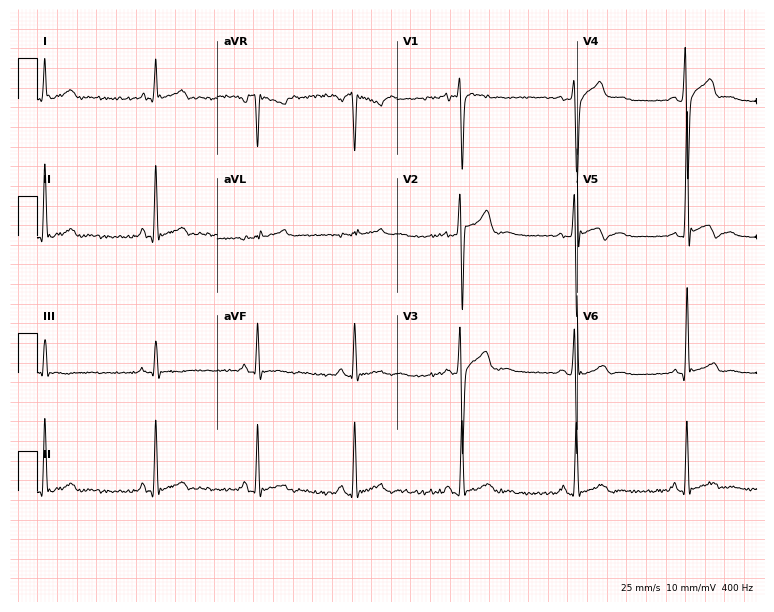
12-lead ECG from a 22-year-old man. Screened for six findings — first-degree AV block, right bundle branch block (RBBB), left bundle branch block (LBBB), sinus bradycardia, atrial fibrillation (AF), sinus tachycardia — none is recorded.